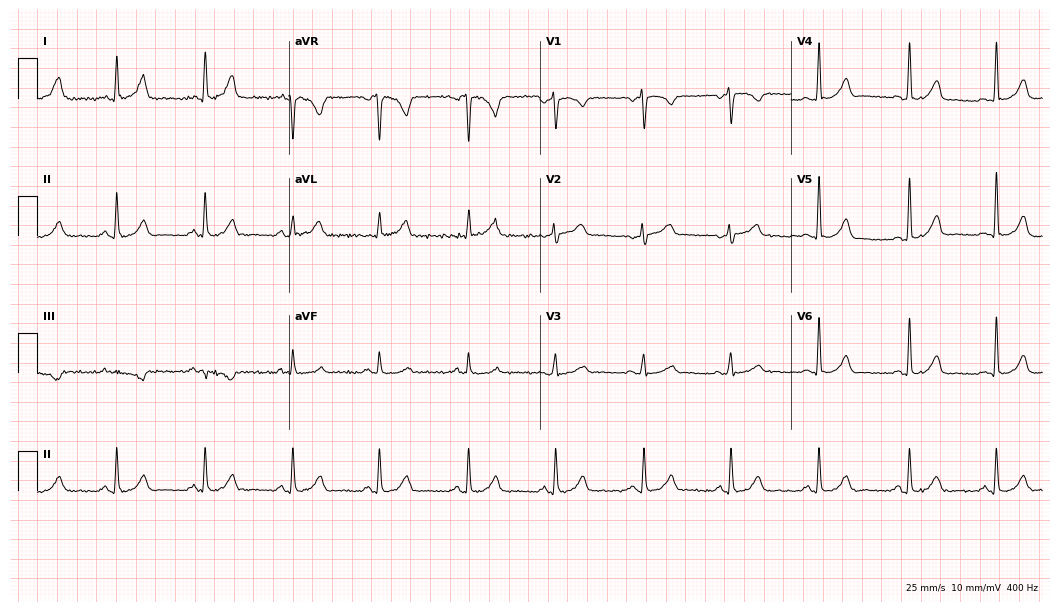
Standard 12-lead ECG recorded from a female patient, 43 years old. Read as a normal ECG.